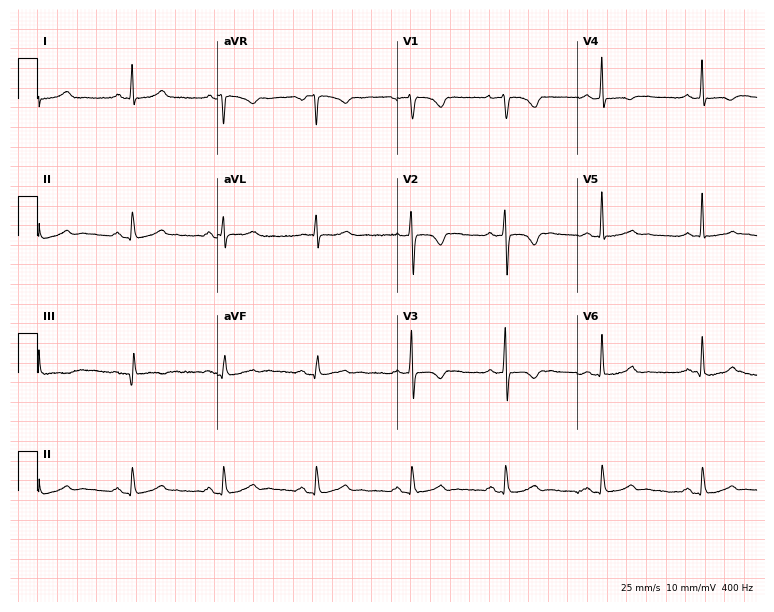
Standard 12-lead ECG recorded from a woman, 35 years old. None of these six findings is recorded: first-degree AV block, right bundle branch block (RBBB), left bundle branch block (LBBB), sinus bradycardia, atrial fibrillation (AF), sinus tachycardia. Other findings, if any, are not listed.